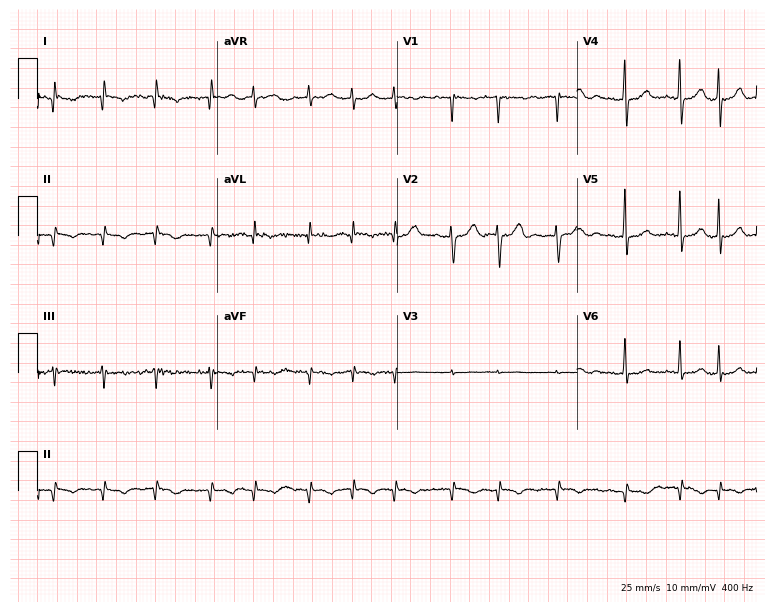
12-lead ECG from a woman, 76 years old. No first-degree AV block, right bundle branch block, left bundle branch block, sinus bradycardia, atrial fibrillation or sinus tachycardia recorded for this tracing. Only these six findings were labelled.